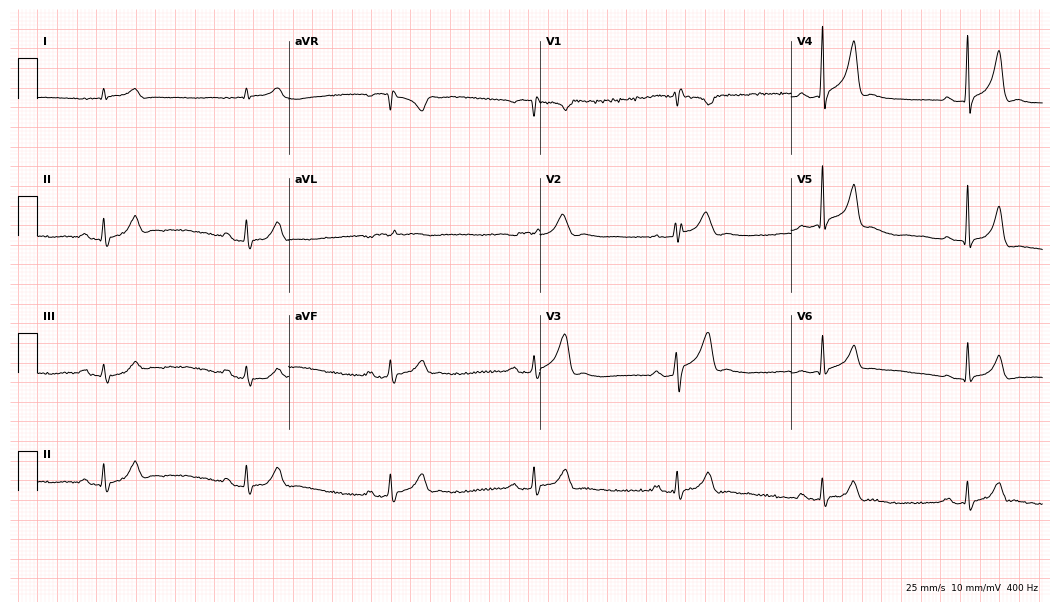
12-lead ECG from a 31-year-old man (10.2-second recording at 400 Hz). No first-degree AV block, right bundle branch block, left bundle branch block, sinus bradycardia, atrial fibrillation or sinus tachycardia recorded for this tracing. Only these six findings were labelled.